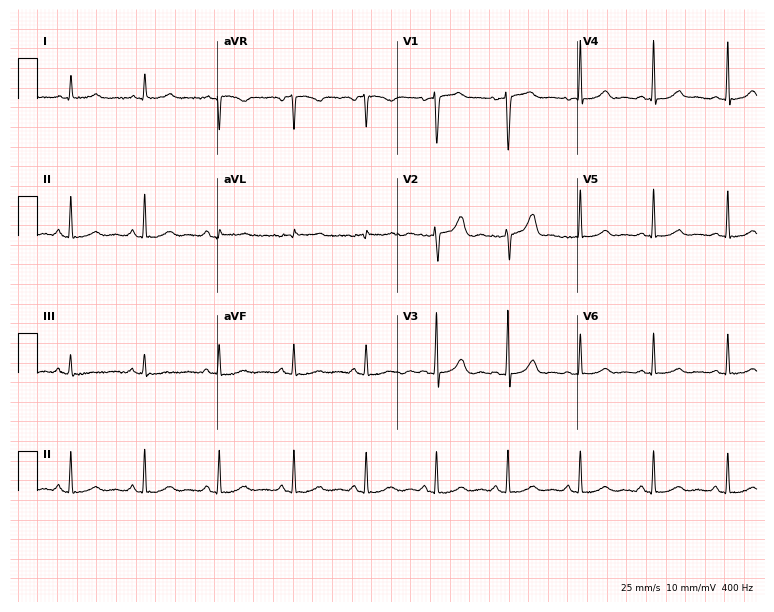
12-lead ECG from a female, 49 years old. Recorded interpretation: within normal limits.